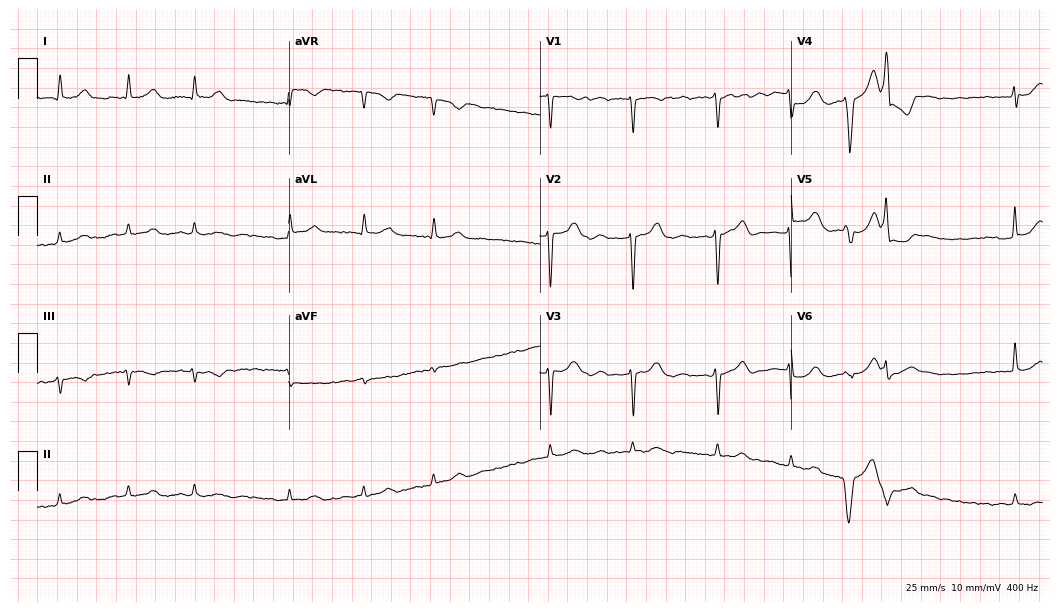
Electrocardiogram, an 83-year-old woman. Interpretation includes atrial fibrillation.